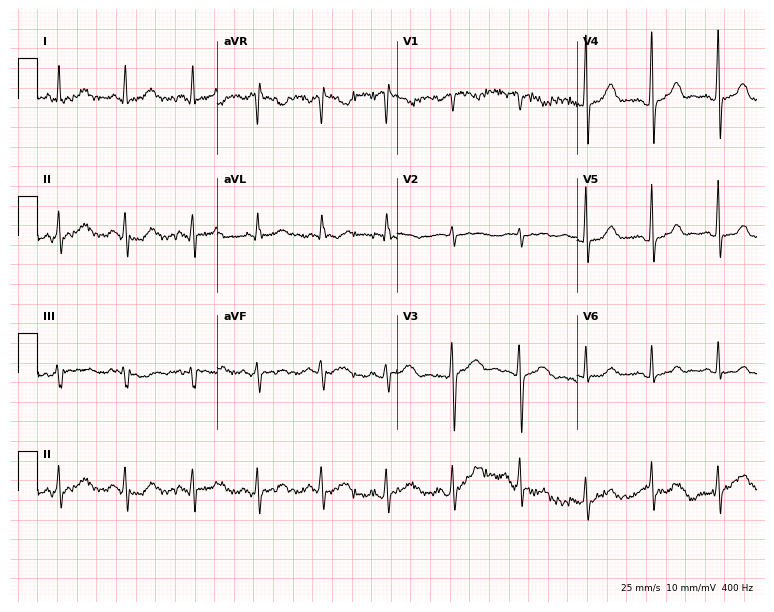
ECG — a 45-year-old female patient. Screened for six findings — first-degree AV block, right bundle branch block, left bundle branch block, sinus bradycardia, atrial fibrillation, sinus tachycardia — none is recorded.